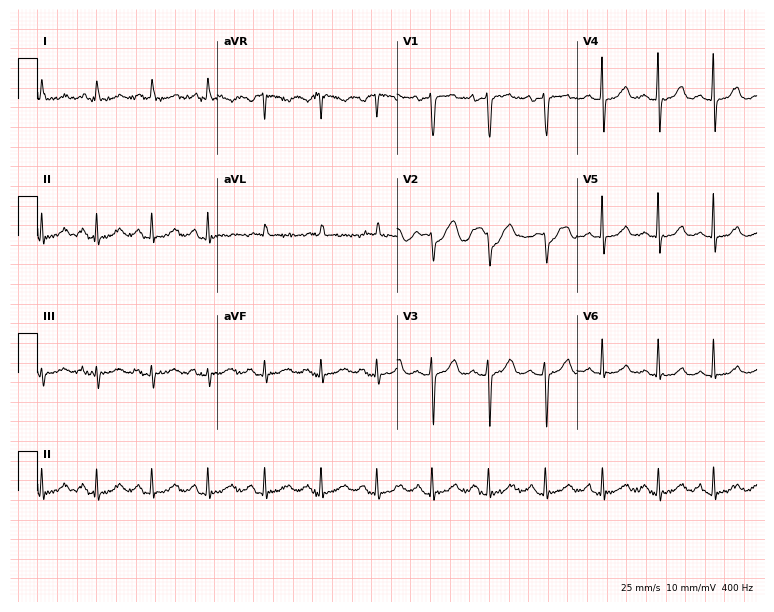
Standard 12-lead ECG recorded from a female patient, 77 years old (7.3-second recording at 400 Hz). Read as a normal ECG.